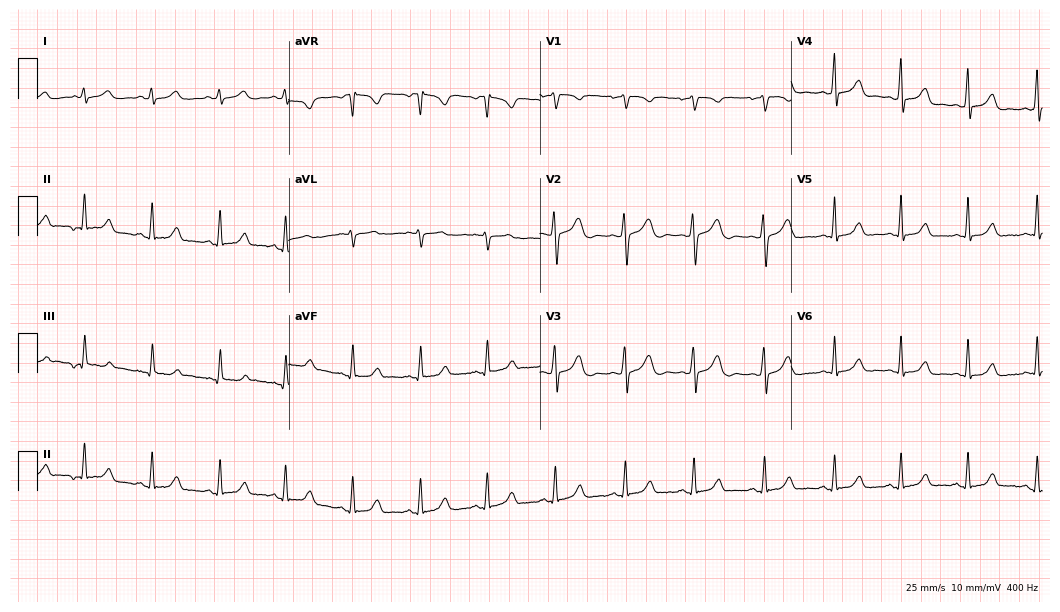
ECG — a 29-year-old woman. Labelled as a normal ECG.